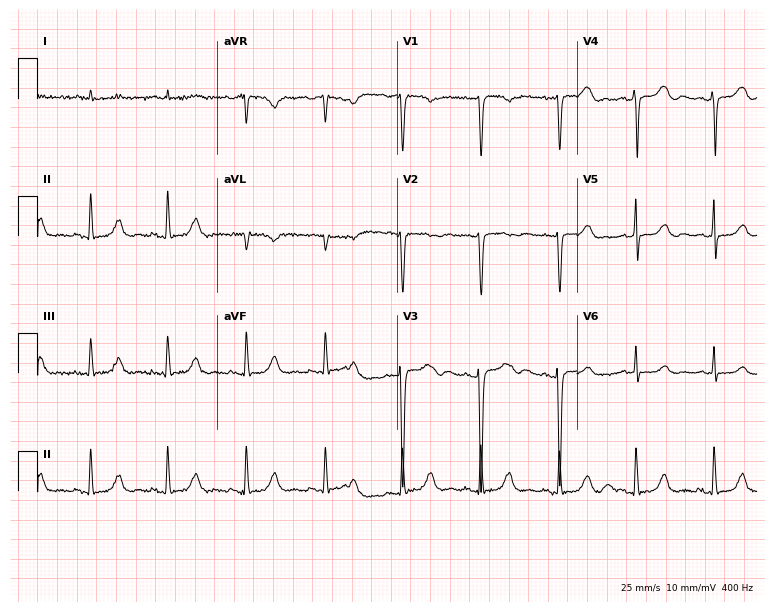
Standard 12-lead ECG recorded from a 68-year-old female patient (7.3-second recording at 400 Hz). Read as a normal ECG.